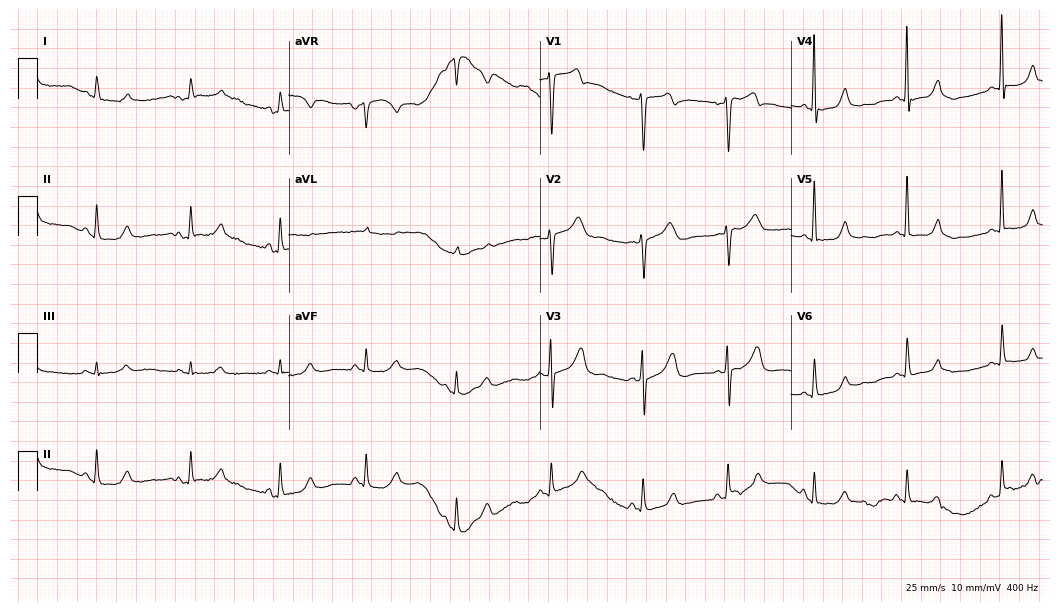
ECG (10.2-second recording at 400 Hz) — a 58-year-old female patient. Labelled as a normal ECG.